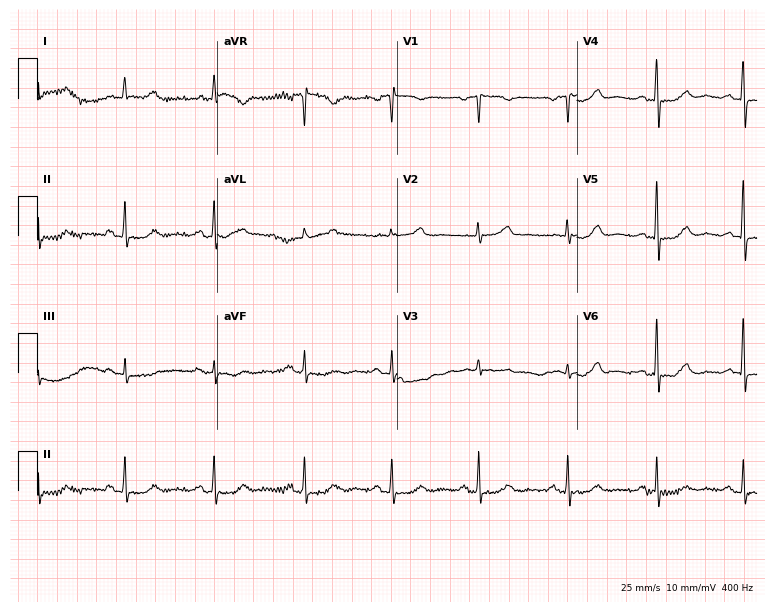
Resting 12-lead electrocardiogram. Patient: a female, 52 years old. Read as a normal ECG.